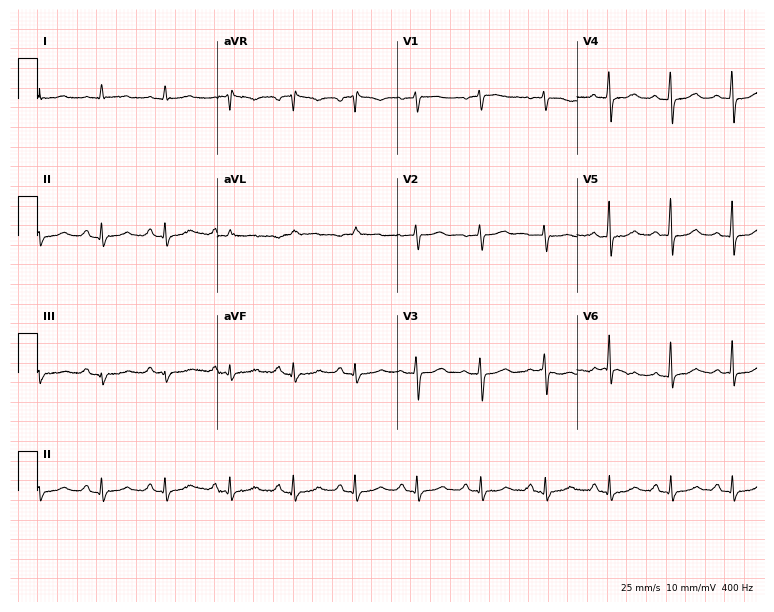
12-lead ECG (7.3-second recording at 400 Hz) from a woman, 58 years old. Screened for six findings — first-degree AV block, right bundle branch block, left bundle branch block, sinus bradycardia, atrial fibrillation, sinus tachycardia — none is recorded. Findings outside these six are not listed.